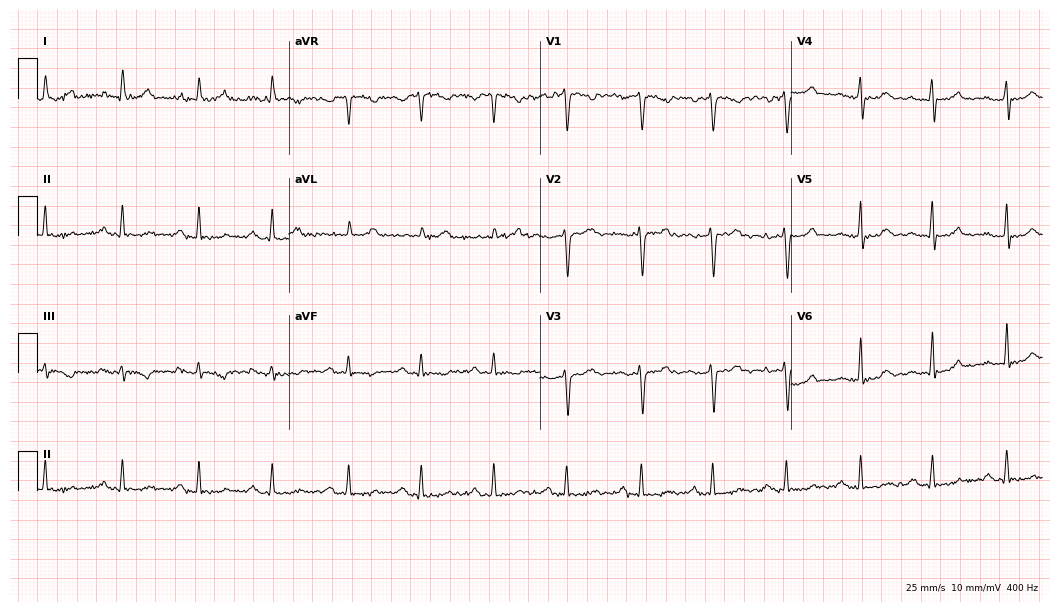
Resting 12-lead electrocardiogram (10.2-second recording at 400 Hz). Patient: a female, 54 years old. None of these six findings is recorded: first-degree AV block, right bundle branch block, left bundle branch block, sinus bradycardia, atrial fibrillation, sinus tachycardia. Only these six findings were labelled.